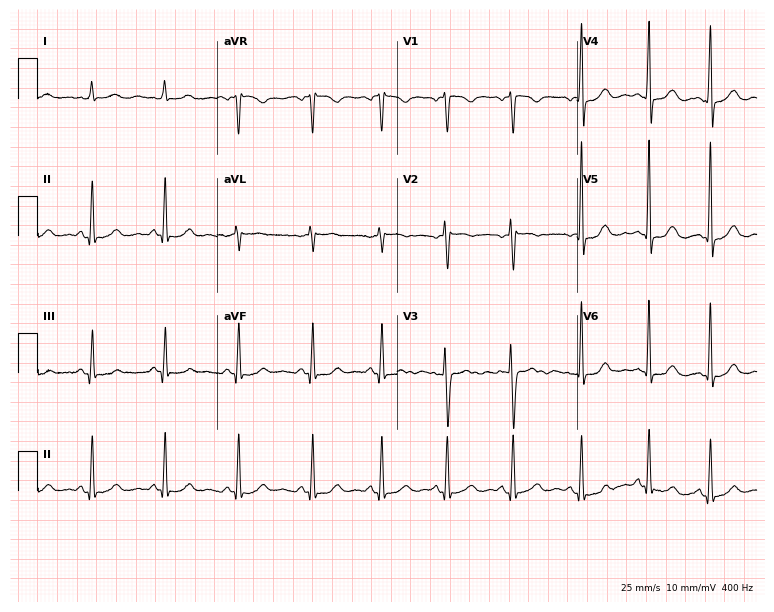
12-lead ECG from a 43-year-old woman. No first-degree AV block, right bundle branch block (RBBB), left bundle branch block (LBBB), sinus bradycardia, atrial fibrillation (AF) or sinus tachycardia recorded for this tracing.